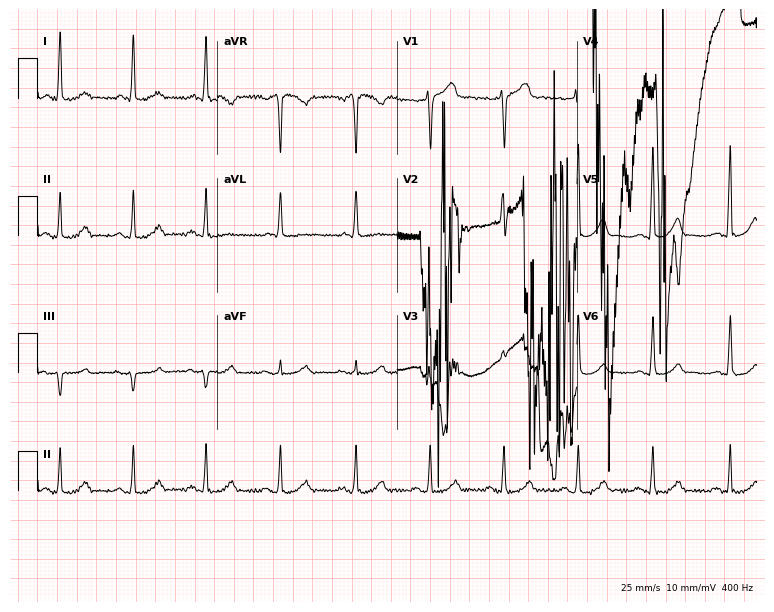
Electrocardiogram, a 73-year-old woman. Of the six screened findings (first-degree AV block, right bundle branch block (RBBB), left bundle branch block (LBBB), sinus bradycardia, atrial fibrillation (AF), sinus tachycardia), none is recorded. Other findings, if any, are not listed.